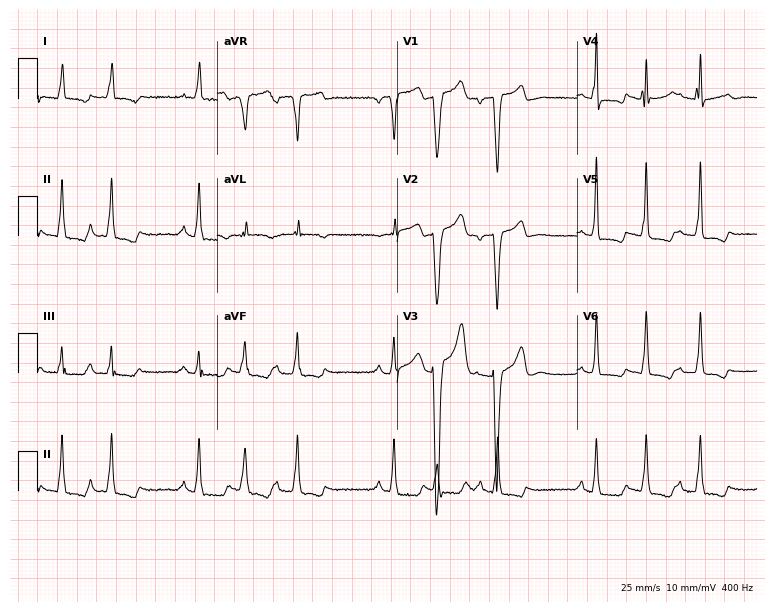
Electrocardiogram (7.3-second recording at 400 Hz), an 85-year-old man. Interpretation includes atrial fibrillation.